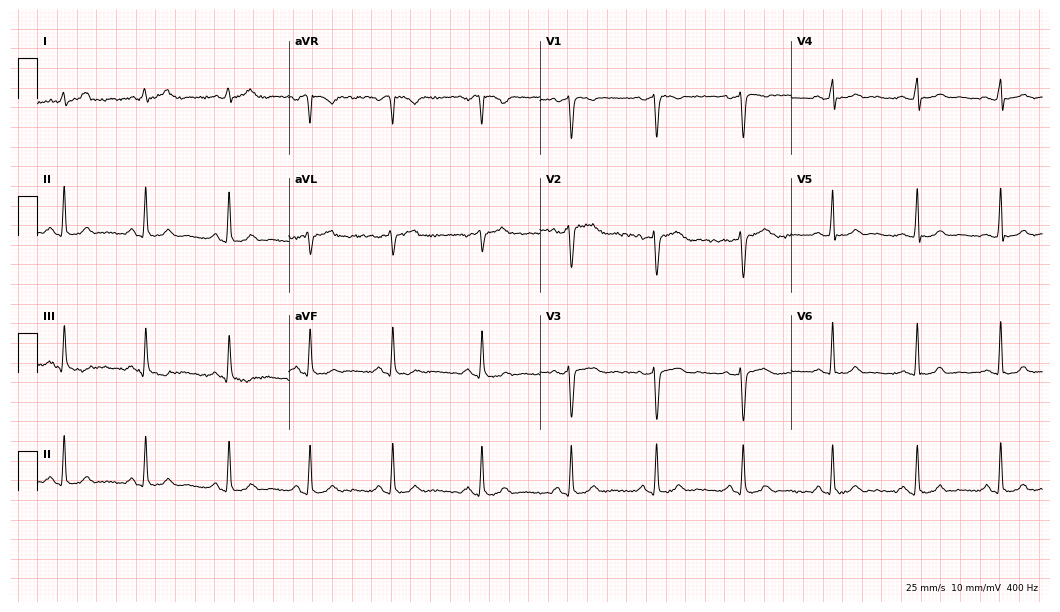
12-lead ECG from a woman, 45 years old. Labelled as a normal ECG.